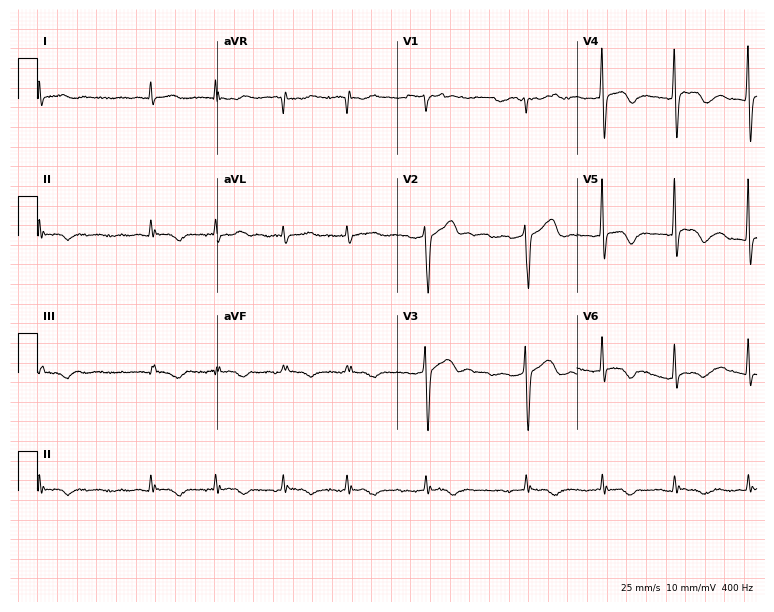
12-lead ECG from a male patient, 77 years old. Shows atrial fibrillation.